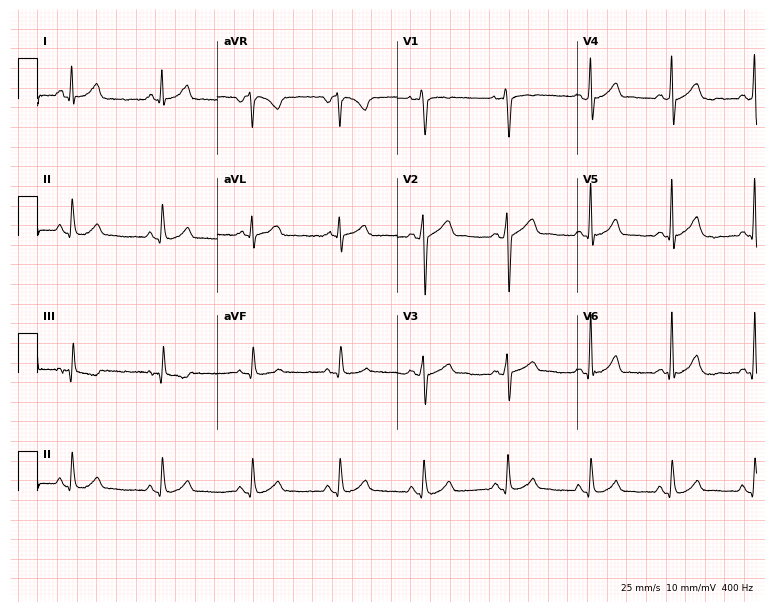
12-lead ECG from a male patient, 36 years old. No first-degree AV block, right bundle branch block (RBBB), left bundle branch block (LBBB), sinus bradycardia, atrial fibrillation (AF) or sinus tachycardia recorded for this tracing.